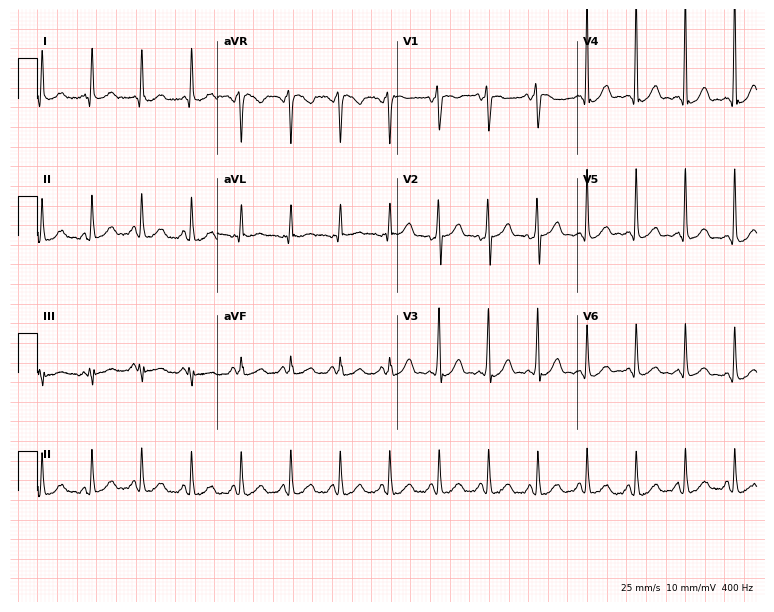
12-lead ECG from a woman, 44 years old (7.3-second recording at 400 Hz). No first-degree AV block, right bundle branch block, left bundle branch block, sinus bradycardia, atrial fibrillation or sinus tachycardia recorded for this tracing.